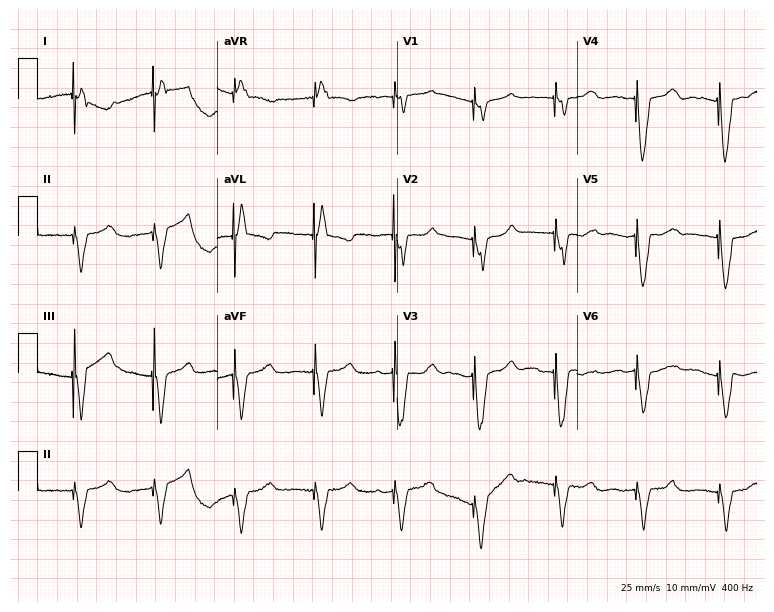
12-lead ECG from a woman, 71 years old. Screened for six findings — first-degree AV block, right bundle branch block, left bundle branch block, sinus bradycardia, atrial fibrillation, sinus tachycardia — none is recorded. Other findings, if any, are not listed.